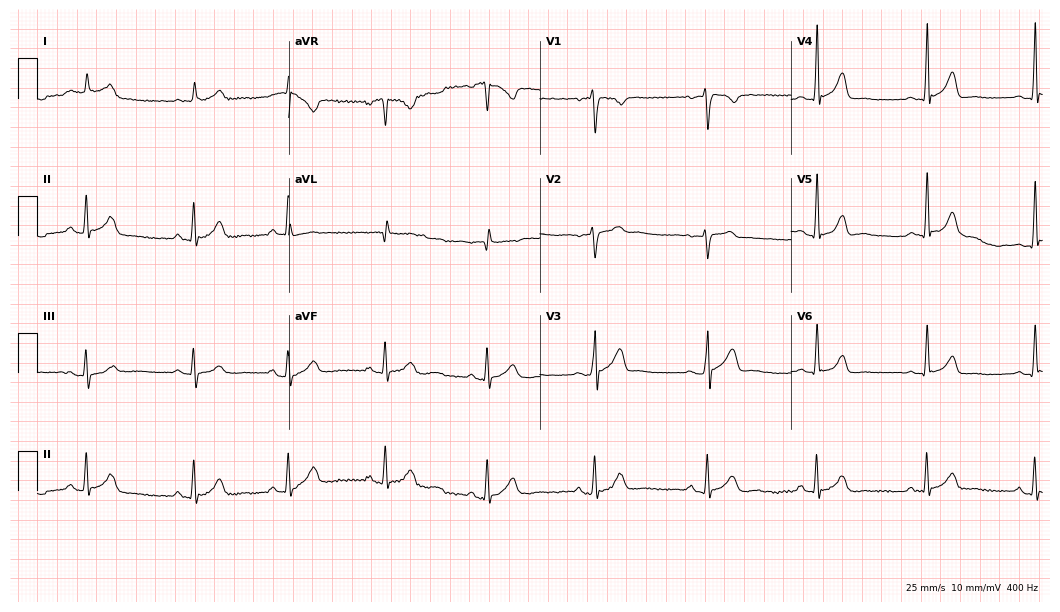
ECG — a man, 49 years old. Labelled as a normal ECG.